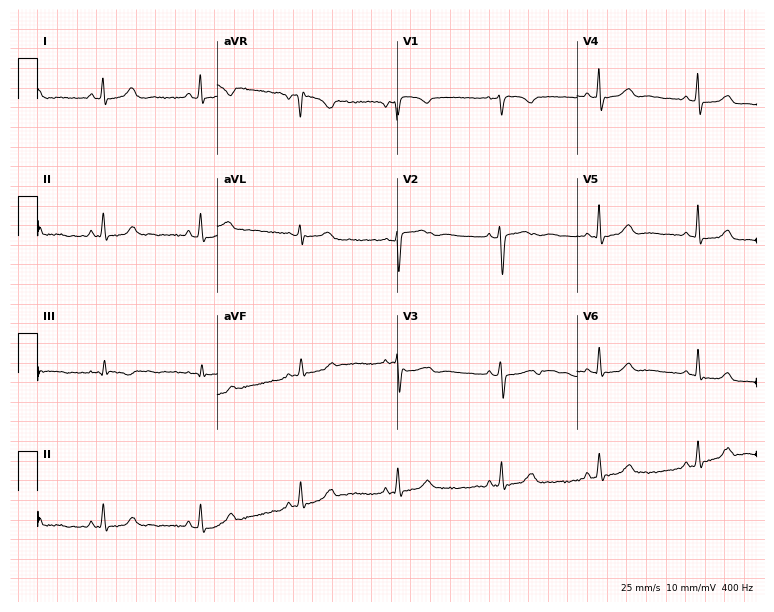
Electrocardiogram (7.3-second recording at 400 Hz), a female, 34 years old. Of the six screened findings (first-degree AV block, right bundle branch block (RBBB), left bundle branch block (LBBB), sinus bradycardia, atrial fibrillation (AF), sinus tachycardia), none is recorded.